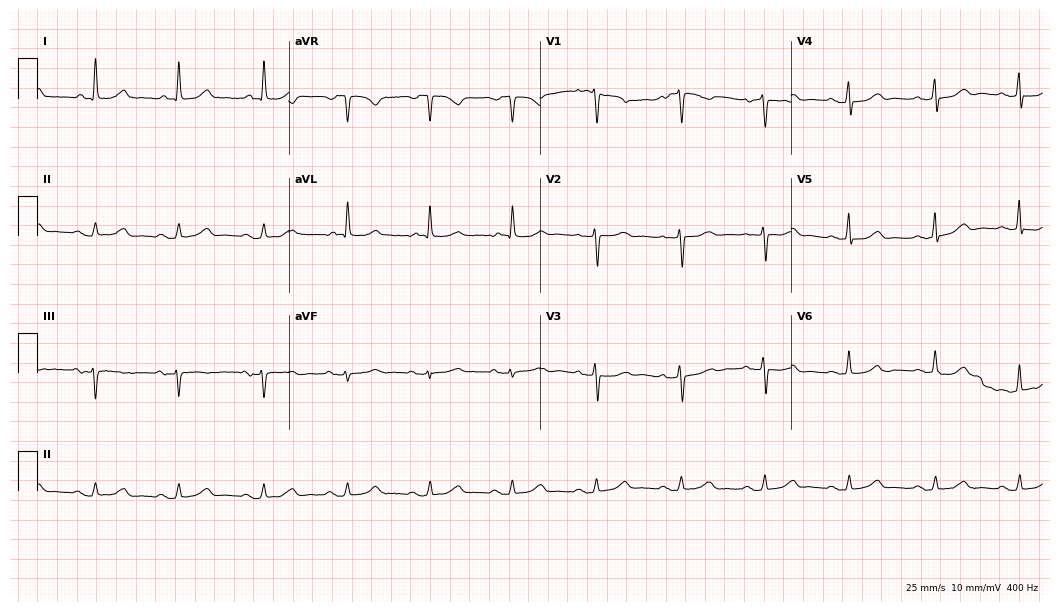
Resting 12-lead electrocardiogram. Patient: a female, 72 years old. Read as a normal ECG.